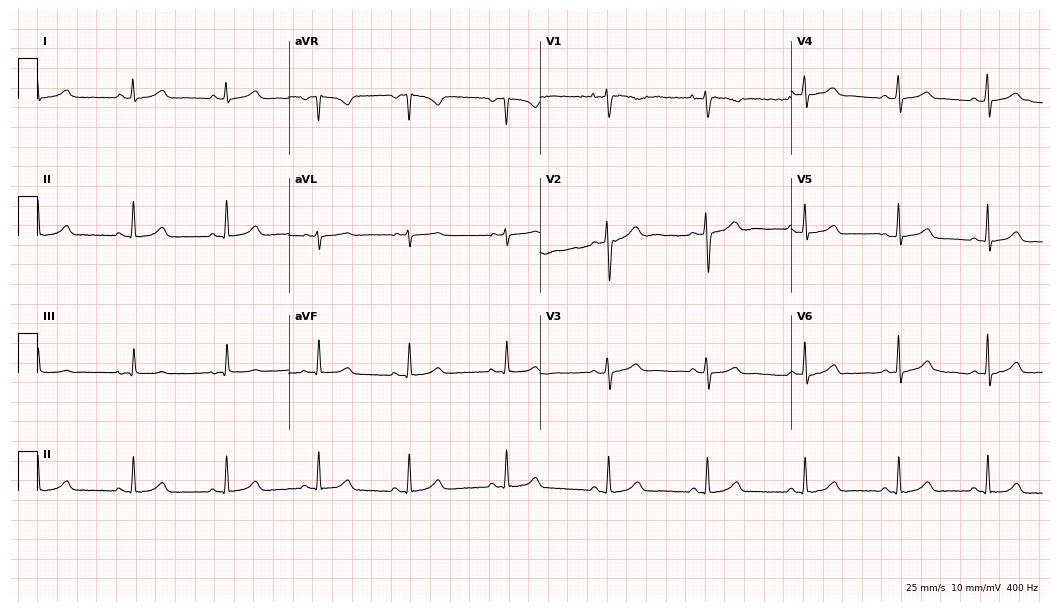
ECG — a 25-year-old female patient. Labelled as a normal ECG.